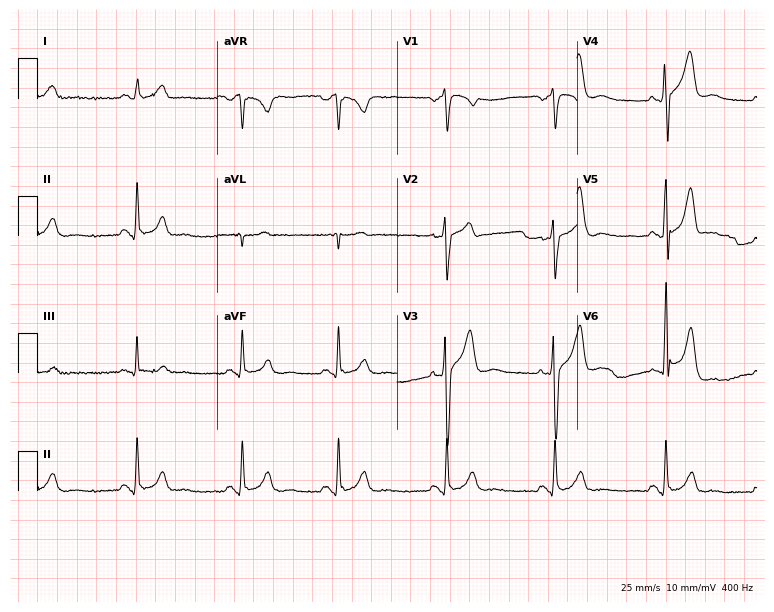
12-lead ECG (7.3-second recording at 400 Hz) from a 22-year-old man. Labelled as a normal ECG.